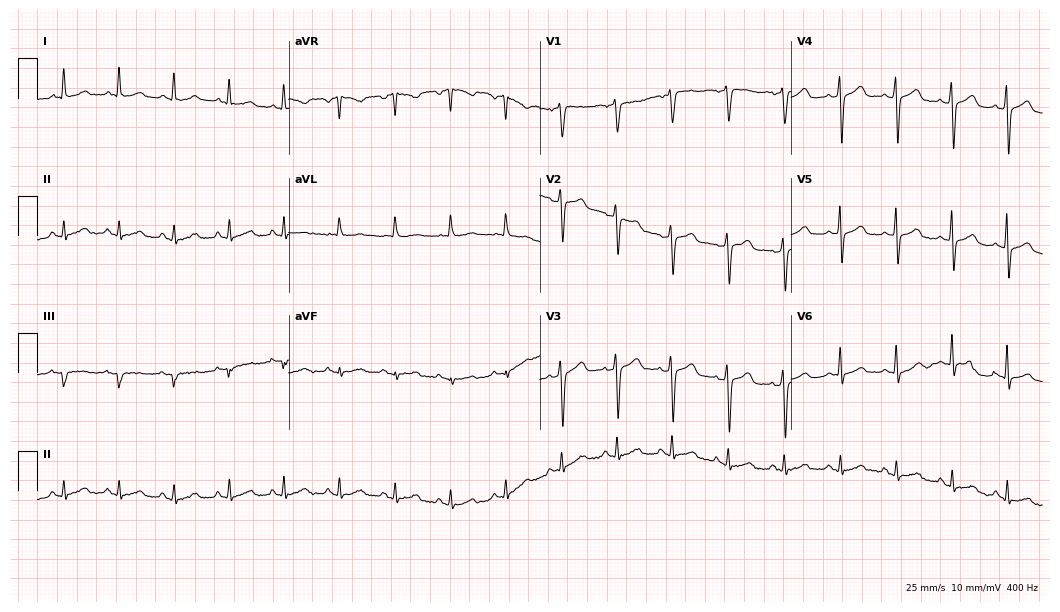
Standard 12-lead ECG recorded from a woman, 67 years old (10.2-second recording at 400 Hz). None of these six findings is recorded: first-degree AV block, right bundle branch block, left bundle branch block, sinus bradycardia, atrial fibrillation, sinus tachycardia. Findings outside these six are not listed.